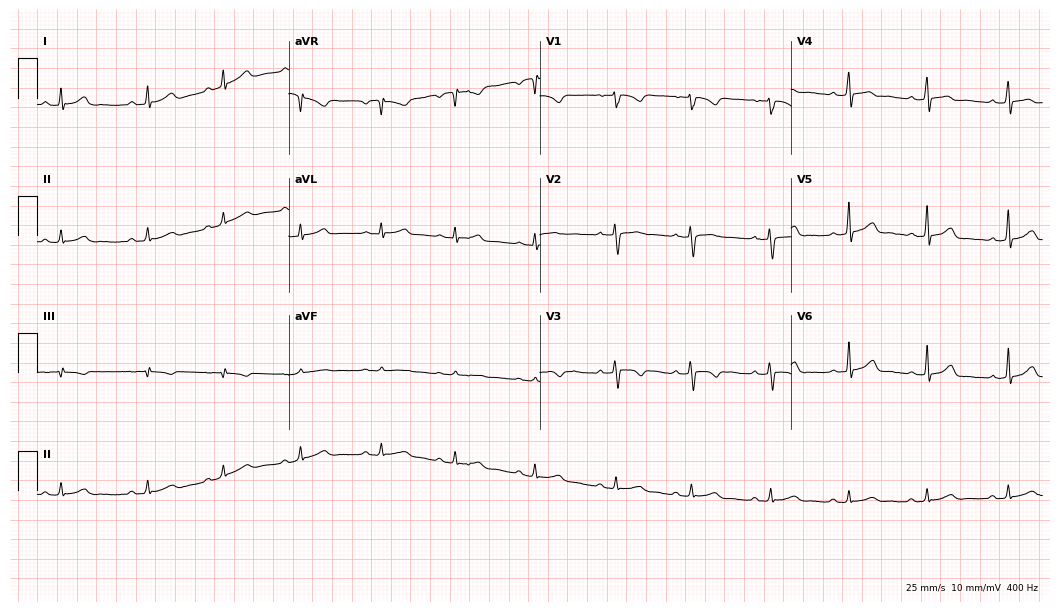
12-lead ECG from a female patient, 20 years old. Labelled as a normal ECG.